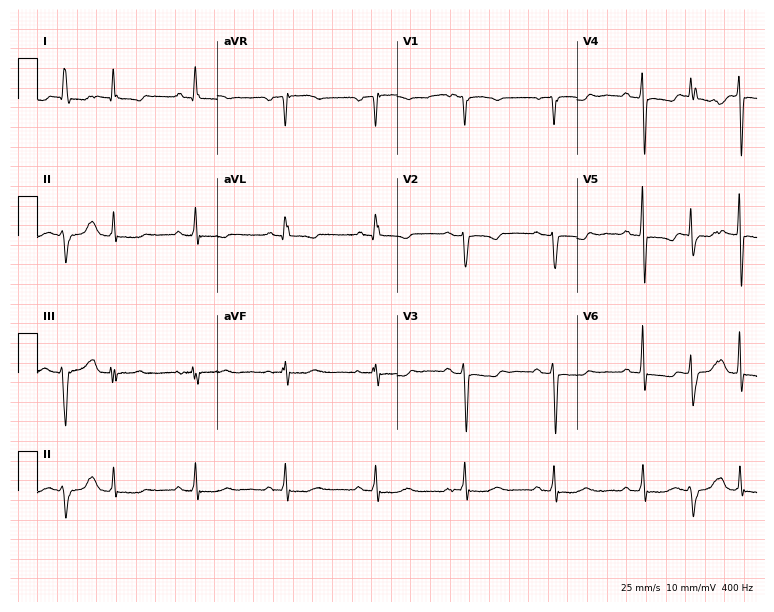
12-lead ECG from a 74-year-old female. Screened for six findings — first-degree AV block, right bundle branch block, left bundle branch block, sinus bradycardia, atrial fibrillation, sinus tachycardia — none is recorded.